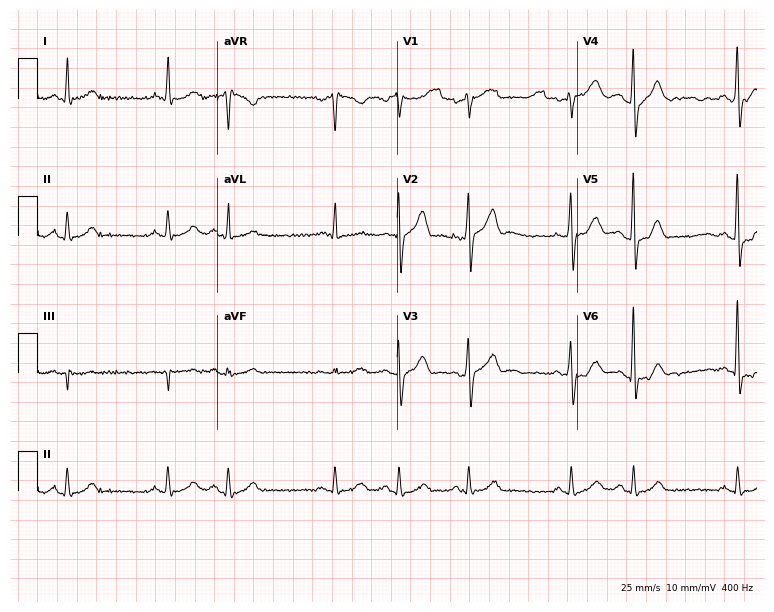
12-lead ECG (7.3-second recording at 400 Hz) from a male patient, 63 years old. Labelled as a normal ECG.